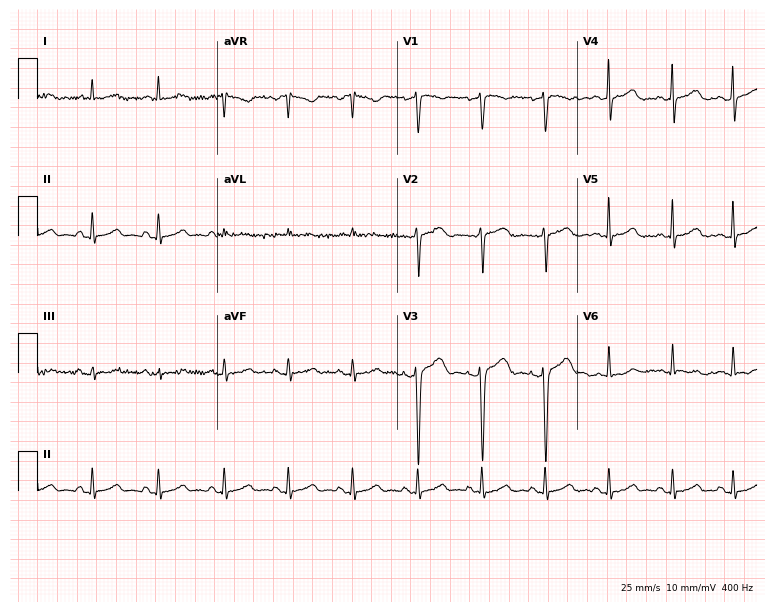
ECG (7.3-second recording at 400 Hz) — a 43-year-old woman. Labelled as a normal ECG.